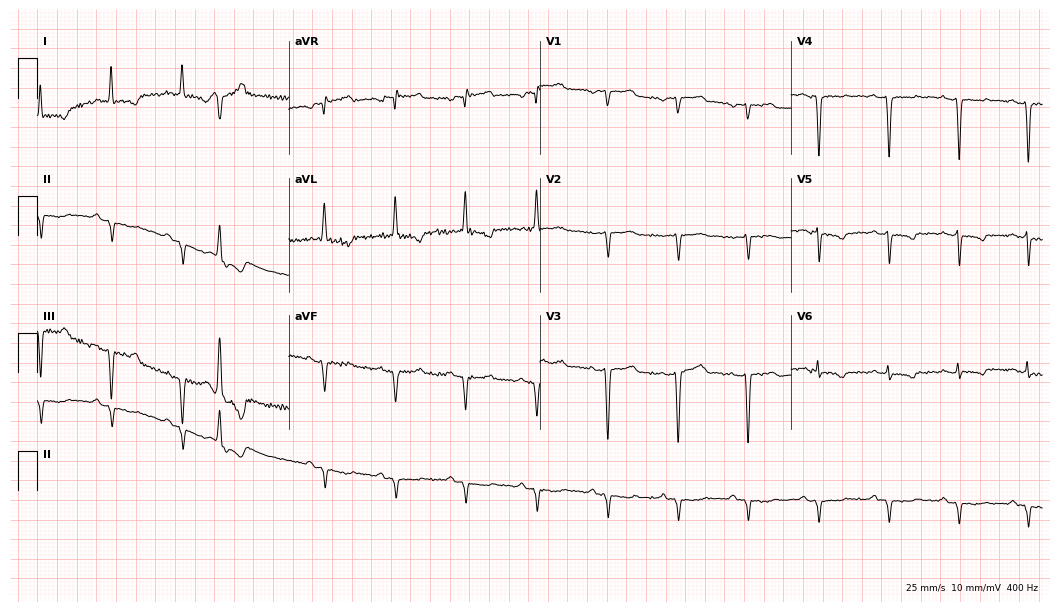
Standard 12-lead ECG recorded from a woman, 77 years old (10.2-second recording at 400 Hz). None of these six findings is recorded: first-degree AV block, right bundle branch block, left bundle branch block, sinus bradycardia, atrial fibrillation, sinus tachycardia.